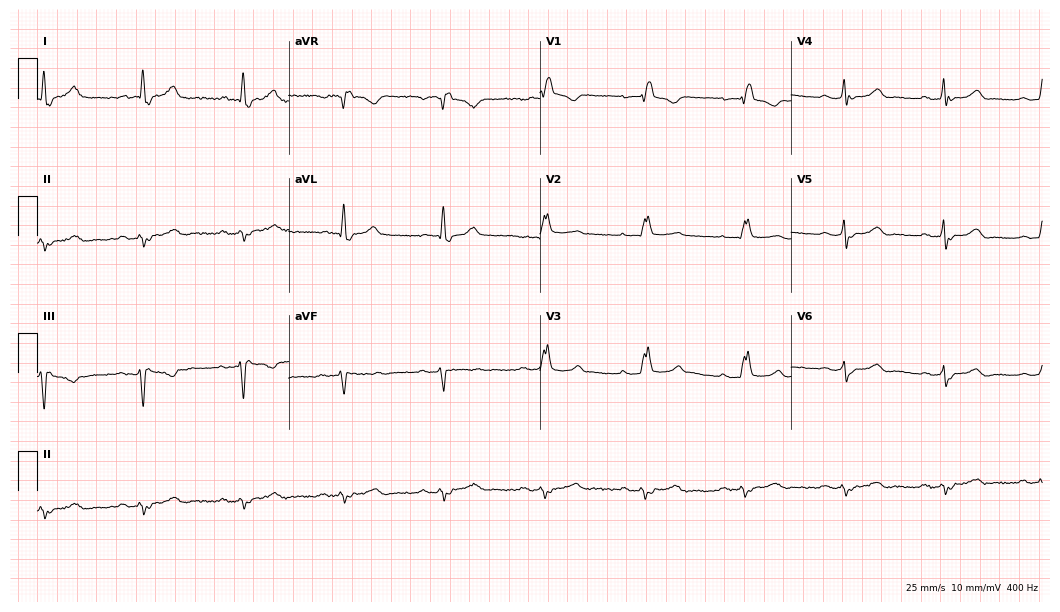
12-lead ECG from a female, 59 years old (10.2-second recording at 400 Hz). Shows right bundle branch block.